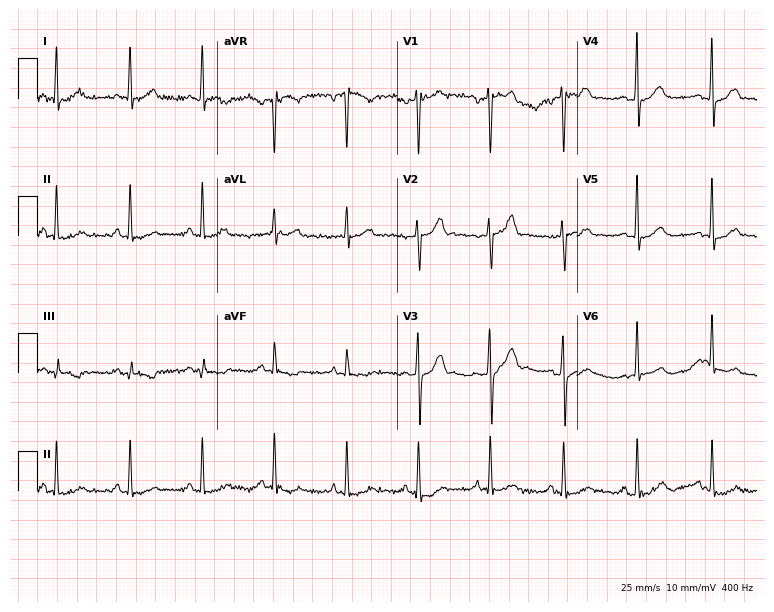
12-lead ECG from a 40-year-old man (7.3-second recording at 400 Hz). Recorded interpretation: within normal limits.